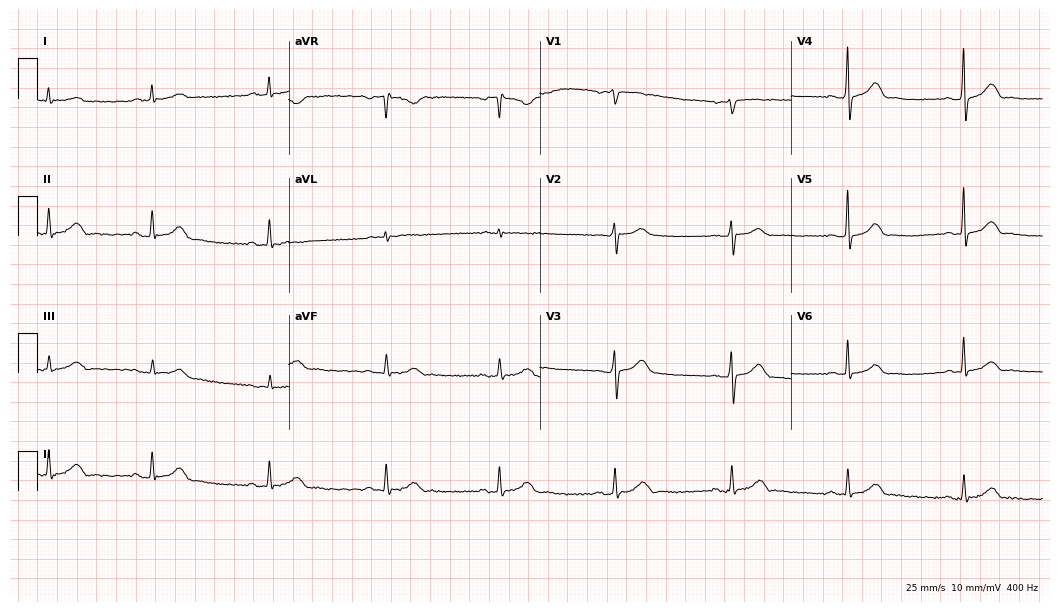
12-lead ECG from a male, 60 years old (10.2-second recording at 400 Hz). No first-degree AV block, right bundle branch block, left bundle branch block, sinus bradycardia, atrial fibrillation or sinus tachycardia recorded for this tracing. Other findings, if any, are not listed.